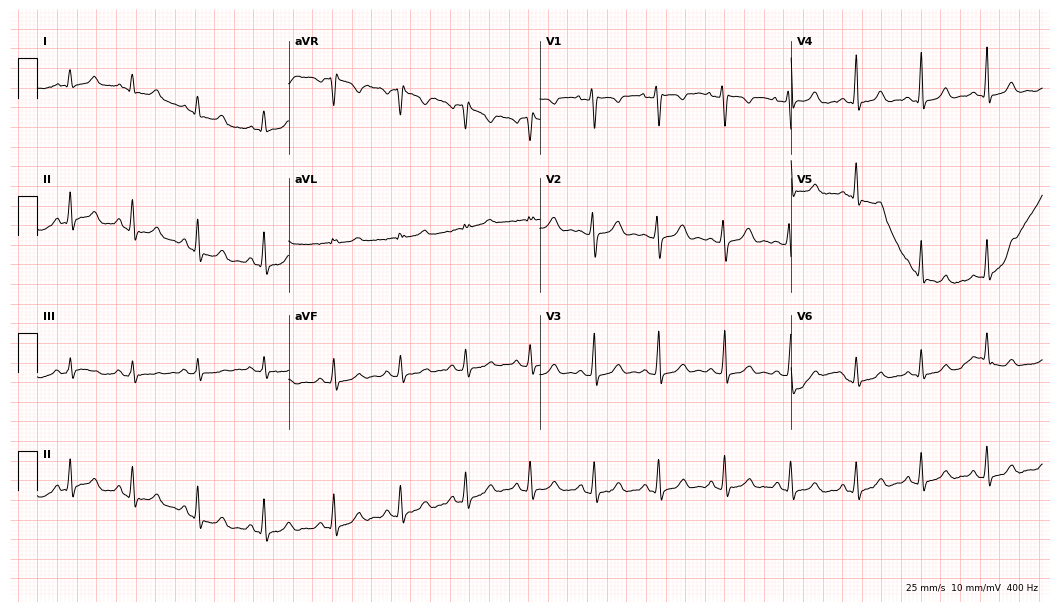
12-lead ECG from a 25-year-old woman. Recorded interpretation: within normal limits.